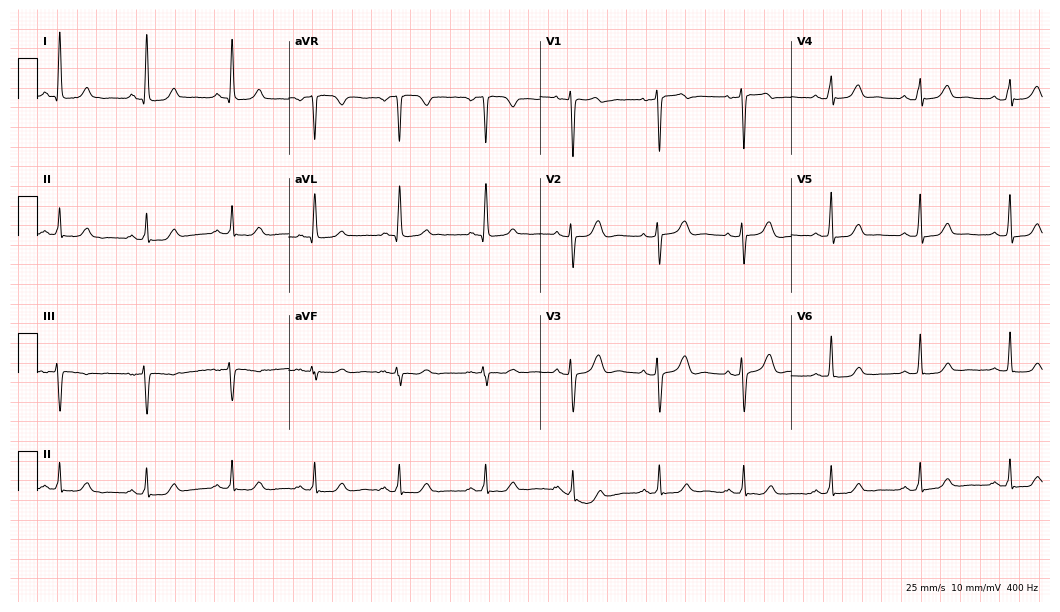
ECG — a 50-year-old female. Labelled as a normal ECG.